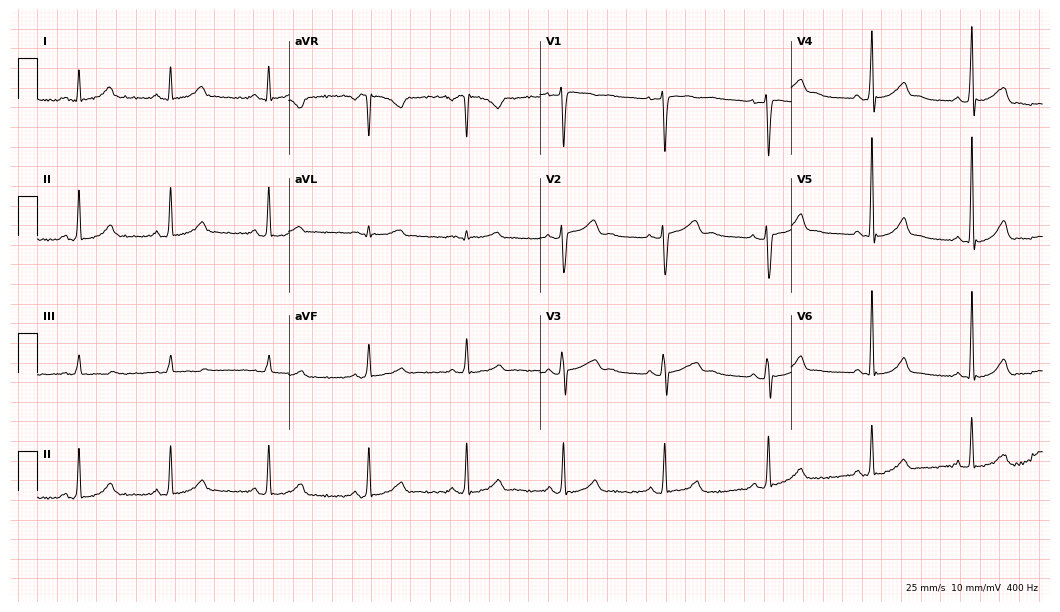
Standard 12-lead ECG recorded from a 47-year-old woman (10.2-second recording at 400 Hz). Read as a normal ECG.